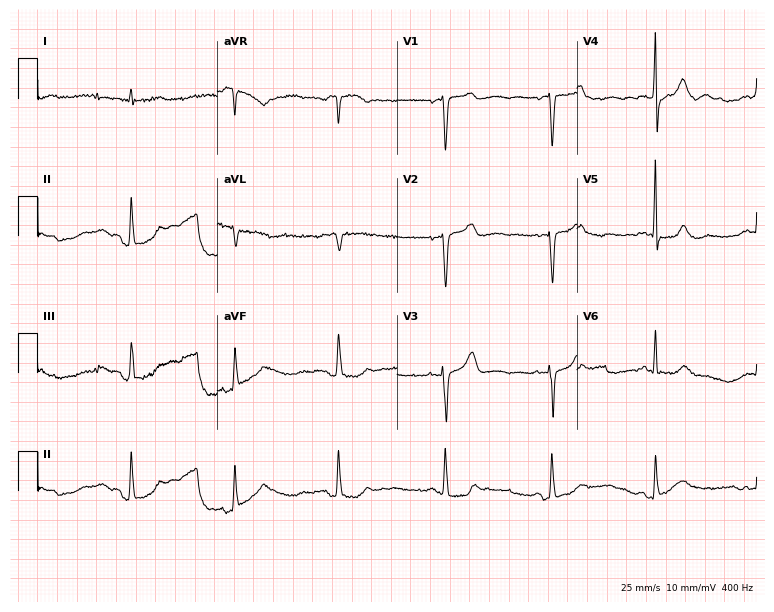
Standard 12-lead ECG recorded from an 83-year-old man (7.3-second recording at 400 Hz). None of these six findings is recorded: first-degree AV block, right bundle branch block (RBBB), left bundle branch block (LBBB), sinus bradycardia, atrial fibrillation (AF), sinus tachycardia. Findings outside these six are not listed.